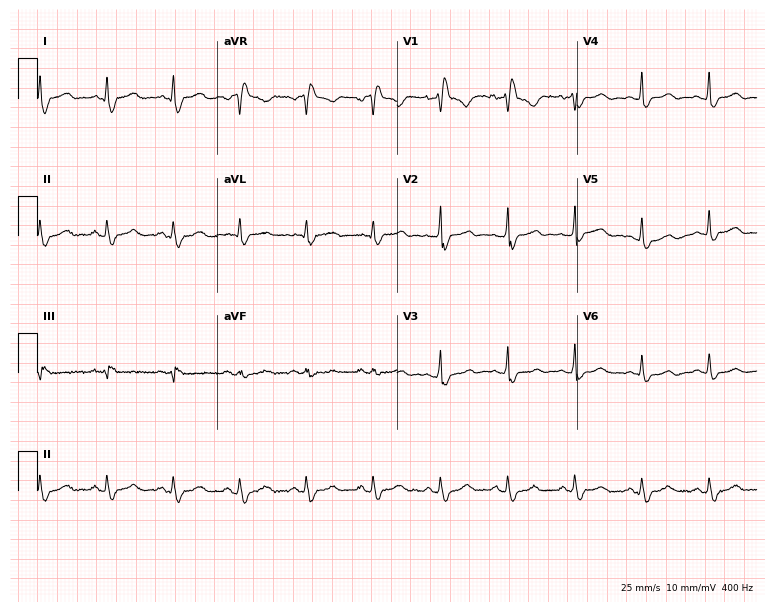
ECG — a female, 36 years old. Findings include right bundle branch block.